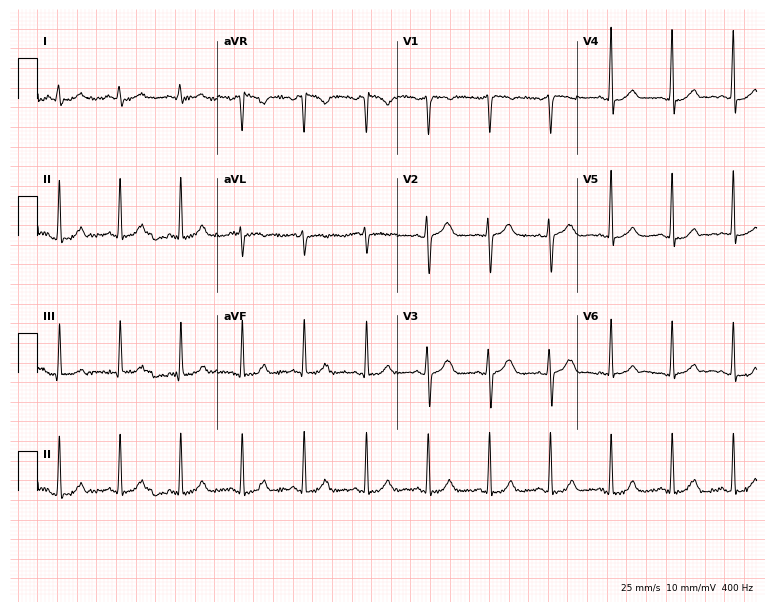
Standard 12-lead ECG recorded from a female patient, 43 years old. Read as a normal ECG.